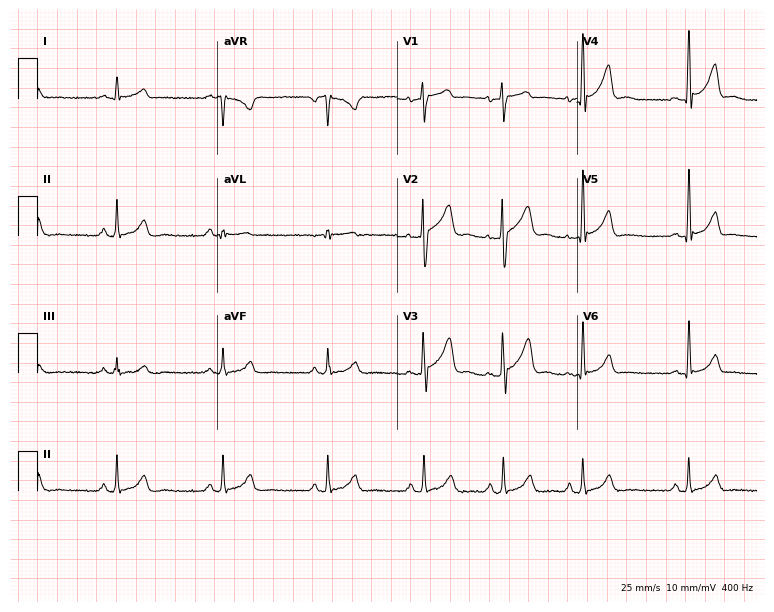
Electrocardiogram, a 33-year-old male. Overall reading on record: normal ECG.